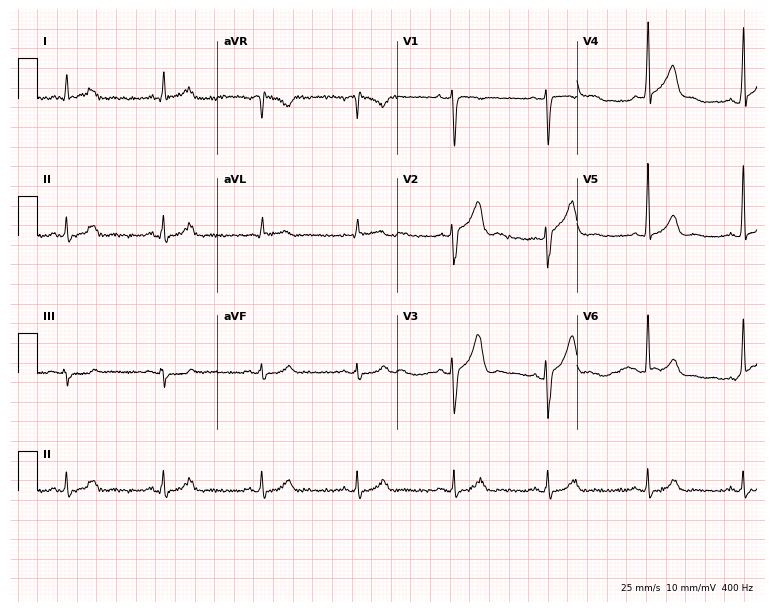
Electrocardiogram (7.3-second recording at 400 Hz), a male, 50 years old. Overall reading on record: normal ECG.